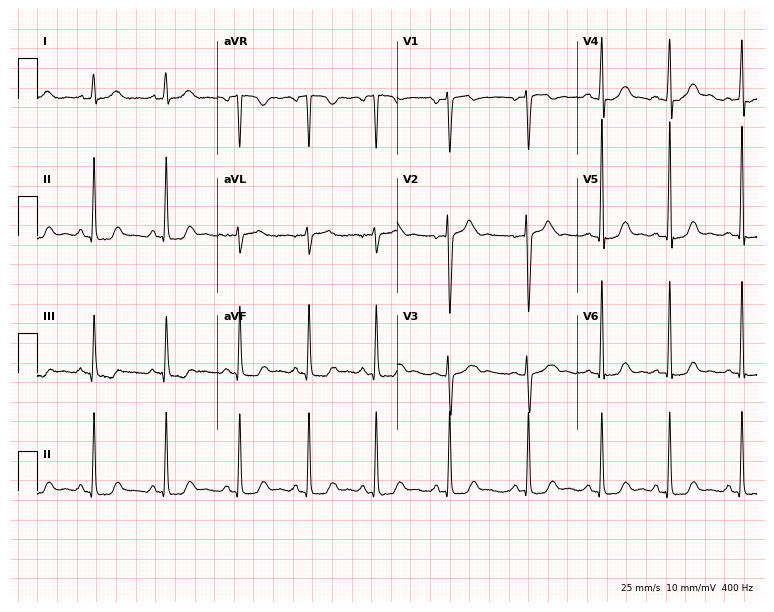
Standard 12-lead ECG recorded from a woman, 31 years old. Read as a normal ECG.